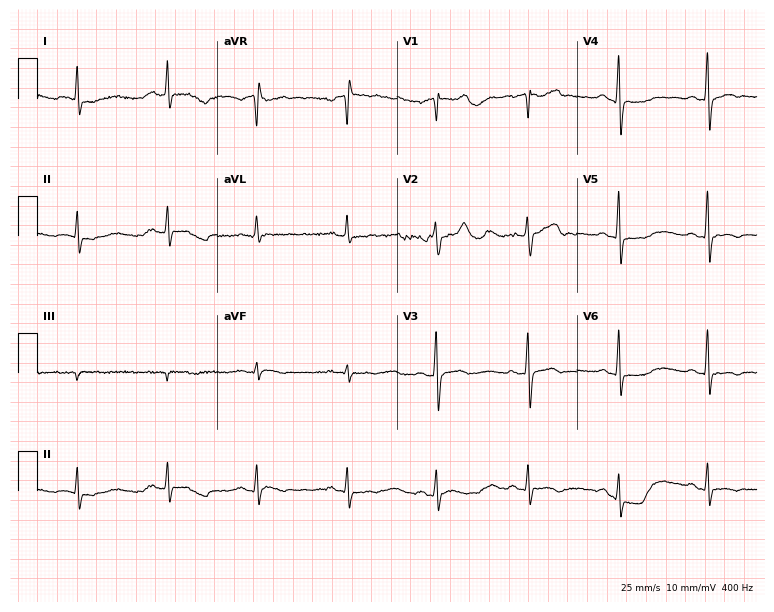
Resting 12-lead electrocardiogram. Patient: a 42-year-old male. None of these six findings is recorded: first-degree AV block, right bundle branch block, left bundle branch block, sinus bradycardia, atrial fibrillation, sinus tachycardia. Other findings, if any, are not listed.